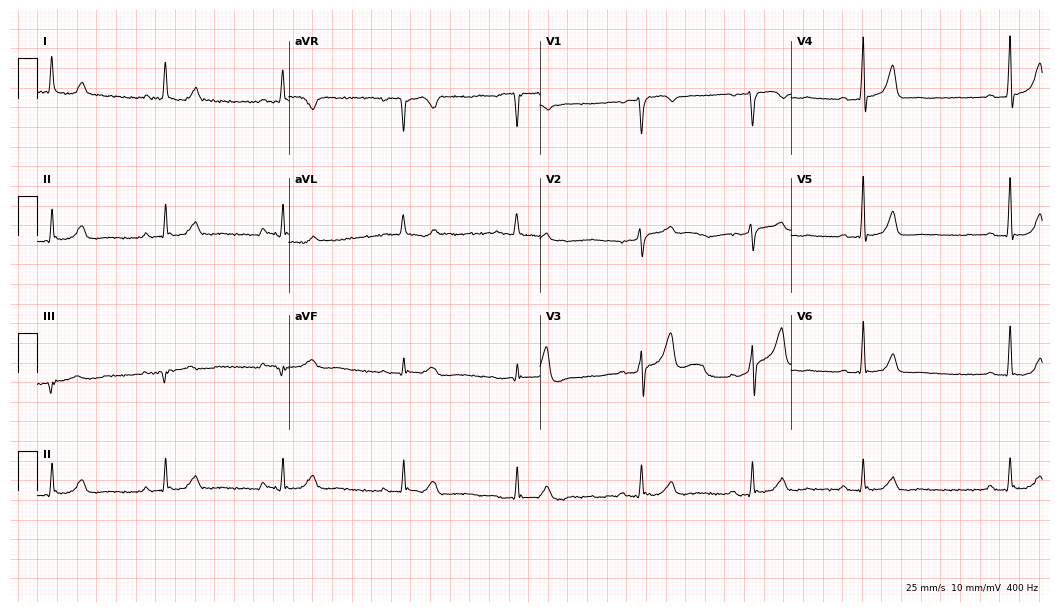
ECG (10.2-second recording at 400 Hz) — a 79-year-old man. Screened for six findings — first-degree AV block, right bundle branch block (RBBB), left bundle branch block (LBBB), sinus bradycardia, atrial fibrillation (AF), sinus tachycardia — none is recorded. Other findings, if any, are not listed.